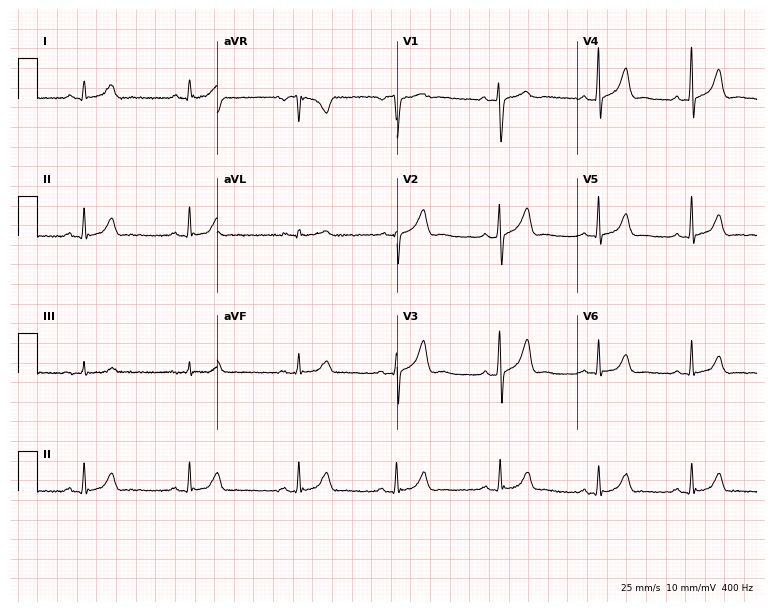
Resting 12-lead electrocardiogram (7.3-second recording at 400 Hz). Patient: a female, 39 years old. Read as a normal ECG.